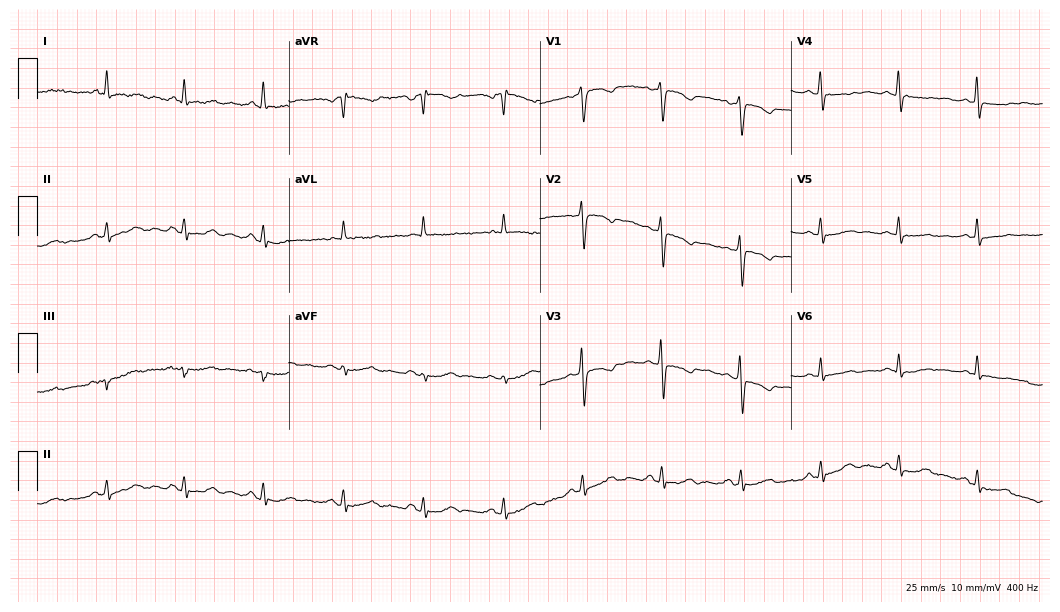
12-lead ECG (10.2-second recording at 400 Hz) from a 64-year-old female patient. Screened for six findings — first-degree AV block, right bundle branch block (RBBB), left bundle branch block (LBBB), sinus bradycardia, atrial fibrillation (AF), sinus tachycardia — none is recorded.